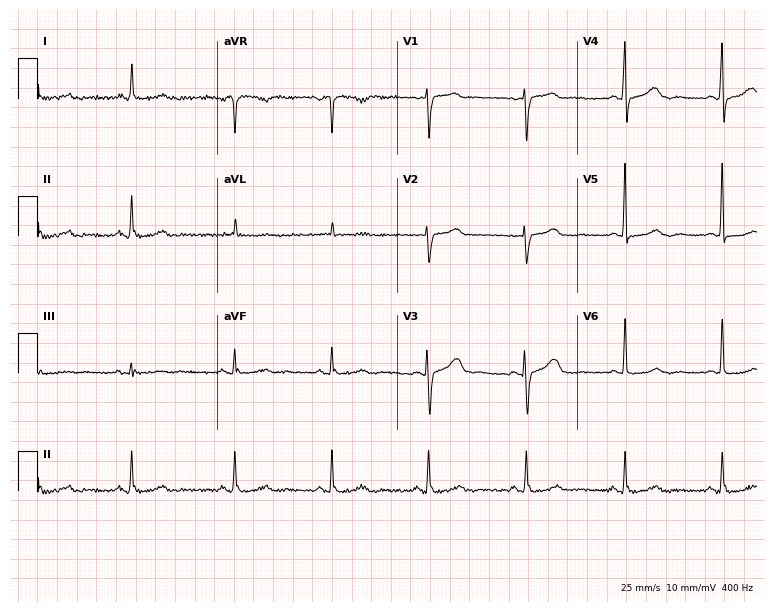
Resting 12-lead electrocardiogram. Patient: an 84-year-old female. Read as a normal ECG.